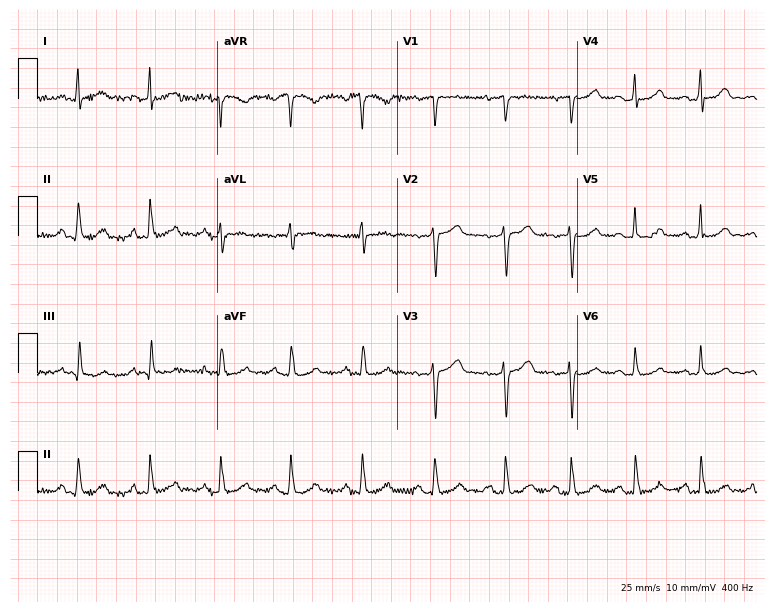
12-lead ECG (7.3-second recording at 400 Hz) from a woman, 45 years old. Labelled as a normal ECG.